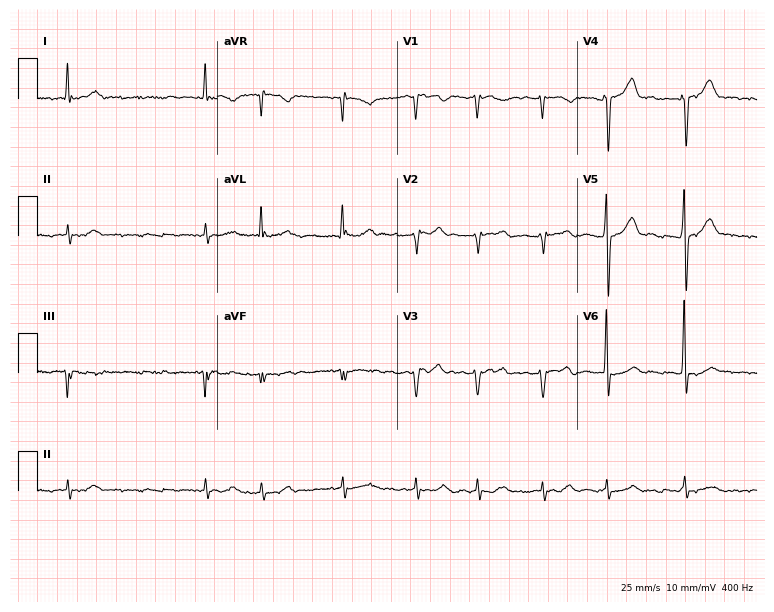
ECG (7.3-second recording at 400 Hz) — a man, 79 years old. Findings include atrial fibrillation.